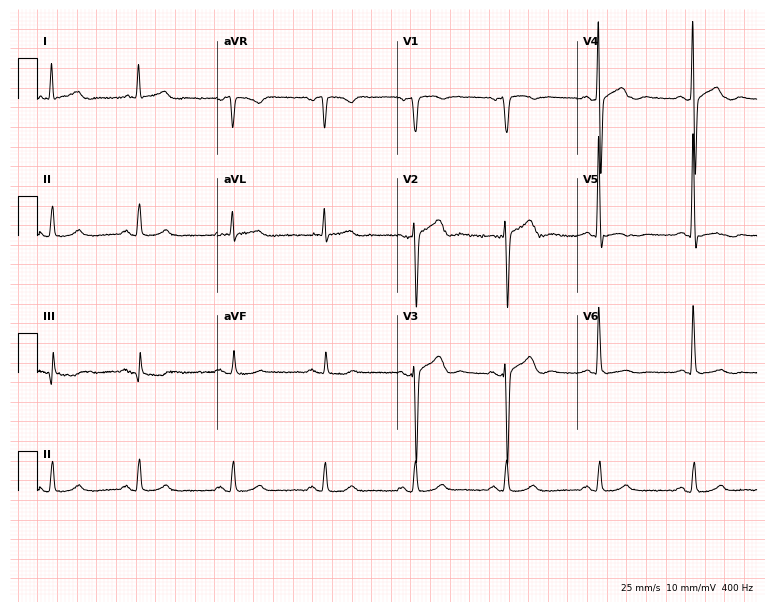
Resting 12-lead electrocardiogram (7.3-second recording at 400 Hz). Patient: a 66-year-old man. None of these six findings is recorded: first-degree AV block, right bundle branch block, left bundle branch block, sinus bradycardia, atrial fibrillation, sinus tachycardia. Other findings, if any, are not listed.